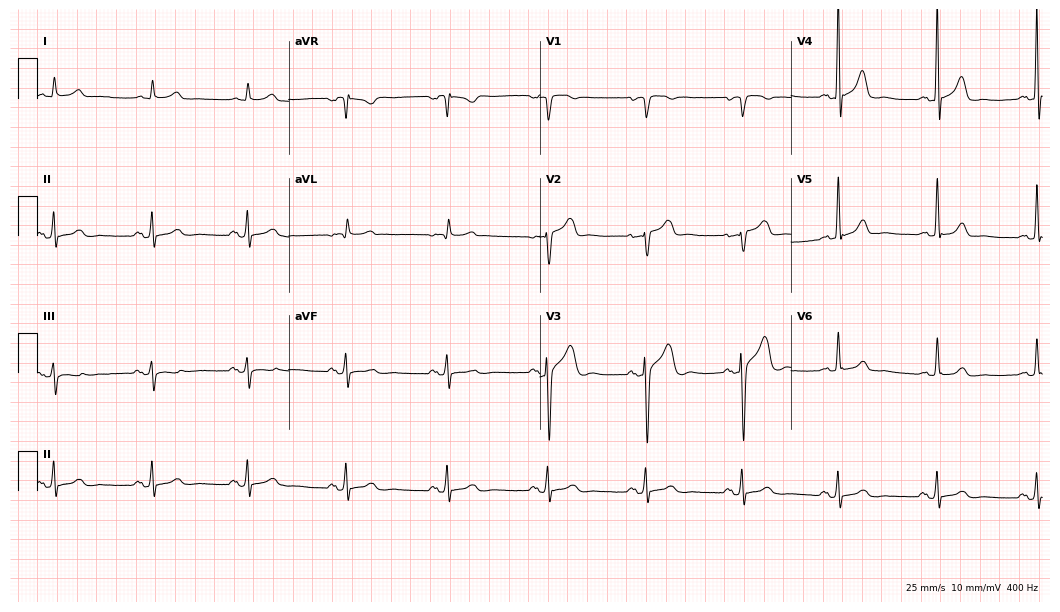
Standard 12-lead ECG recorded from a man, 75 years old (10.2-second recording at 400 Hz). Read as a normal ECG.